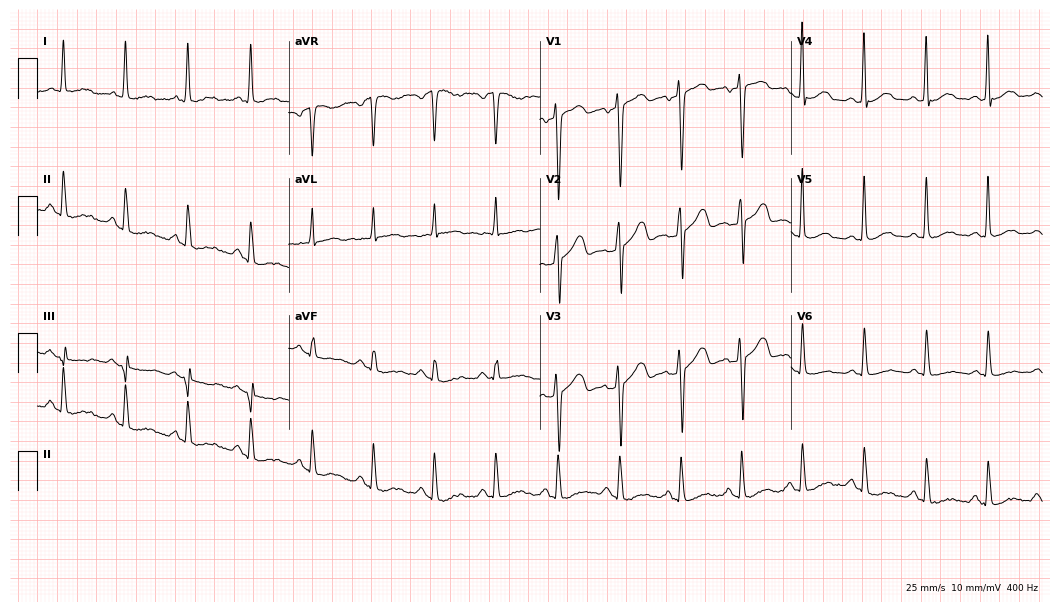
Electrocardiogram, a woman, 47 years old. Overall reading on record: normal ECG.